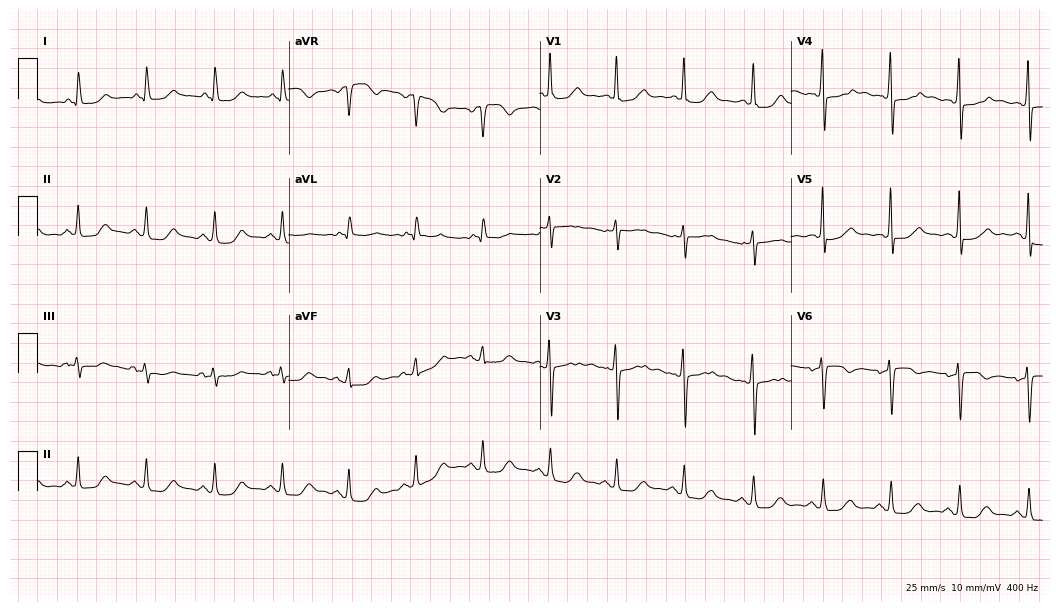
ECG — a 56-year-old female patient. Screened for six findings — first-degree AV block, right bundle branch block, left bundle branch block, sinus bradycardia, atrial fibrillation, sinus tachycardia — none is recorded. Other findings, if any, are not listed.